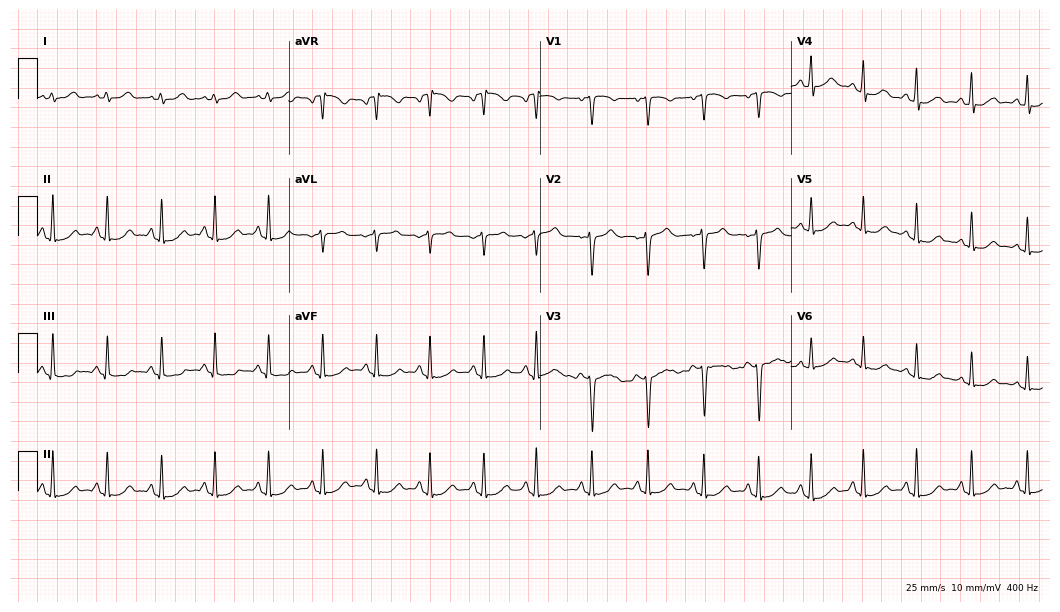
Electrocardiogram (10.2-second recording at 400 Hz), a 17-year-old female. Interpretation includes sinus tachycardia (a sinus rate of 100 beats per minute or more).